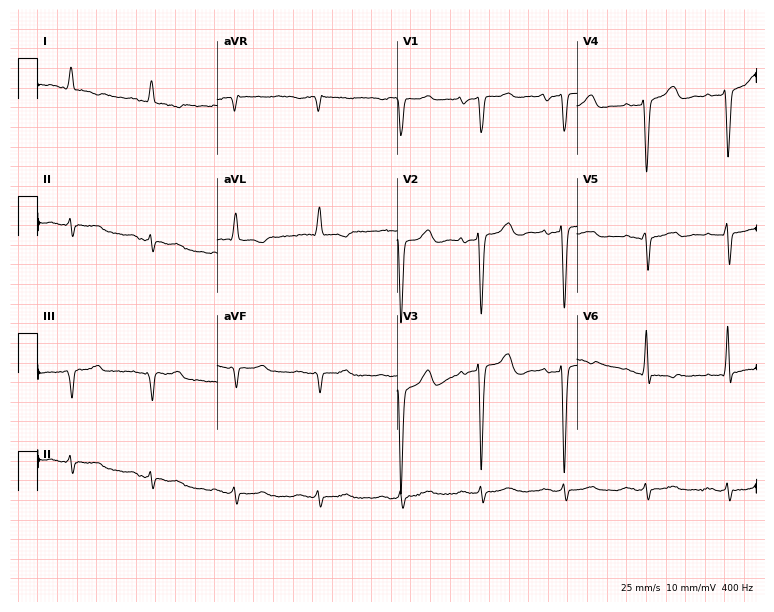
12-lead ECG (7.3-second recording at 400 Hz) from a female patient, 63 years old. Screened for six findings — first-degree AV block, right bundle branch block, left bundle branch block, sinus bradycardia, atrial fibrillation, sinus tachycardia — none is recorded. Findings outside these six are not listed.